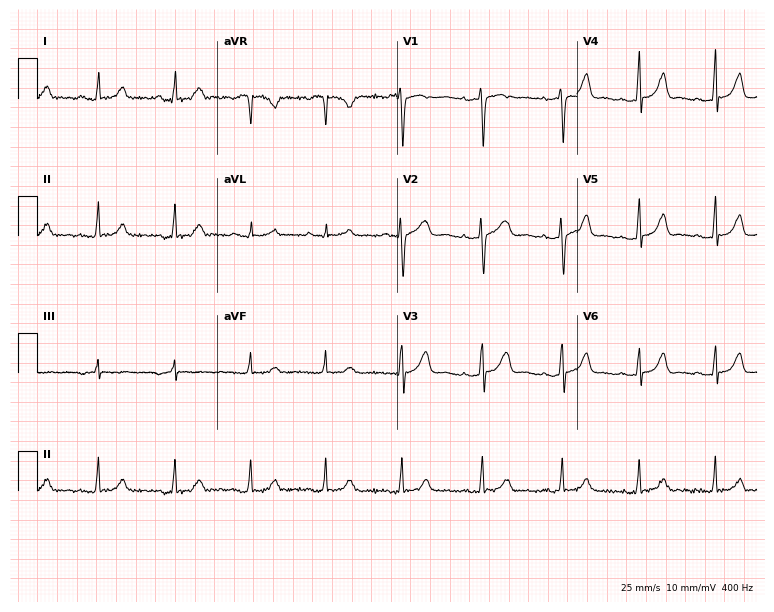
Electrocardiogram (7.3-second recording at 400 Hz), a female, 23 years old. Overall reading on record: normal ECG.